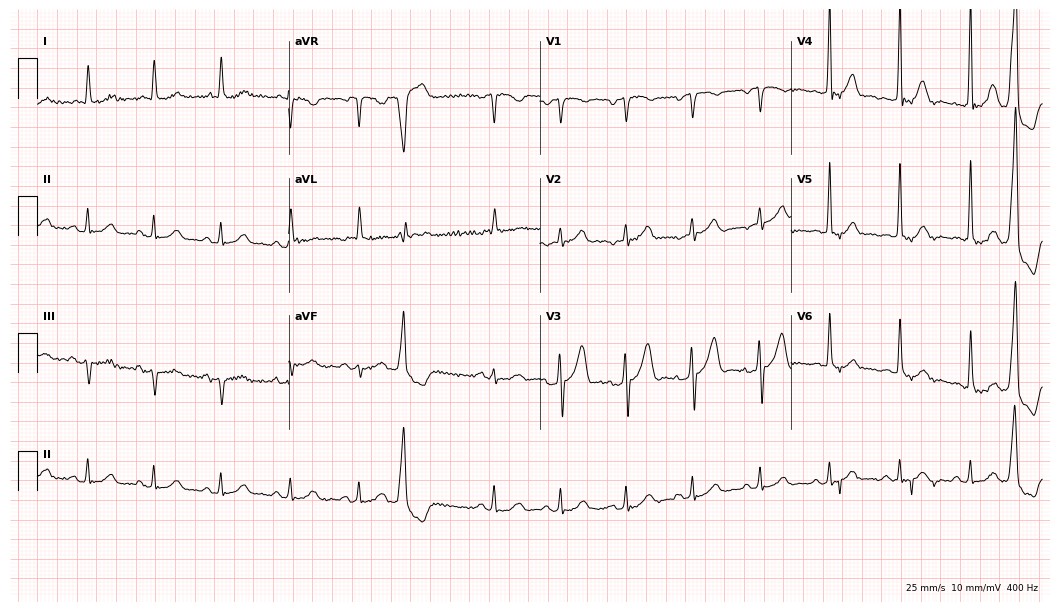
12-lead ECG from a male patient, 74 years old. Screened for six findings — first-degree AV block, right bundle branch block (RBBB), left bundle branch block (LBBB), sinus bradycardia, atrial fibrillation (AF), sinus tachycardia — none is recorded. Only these six findings were labelled.